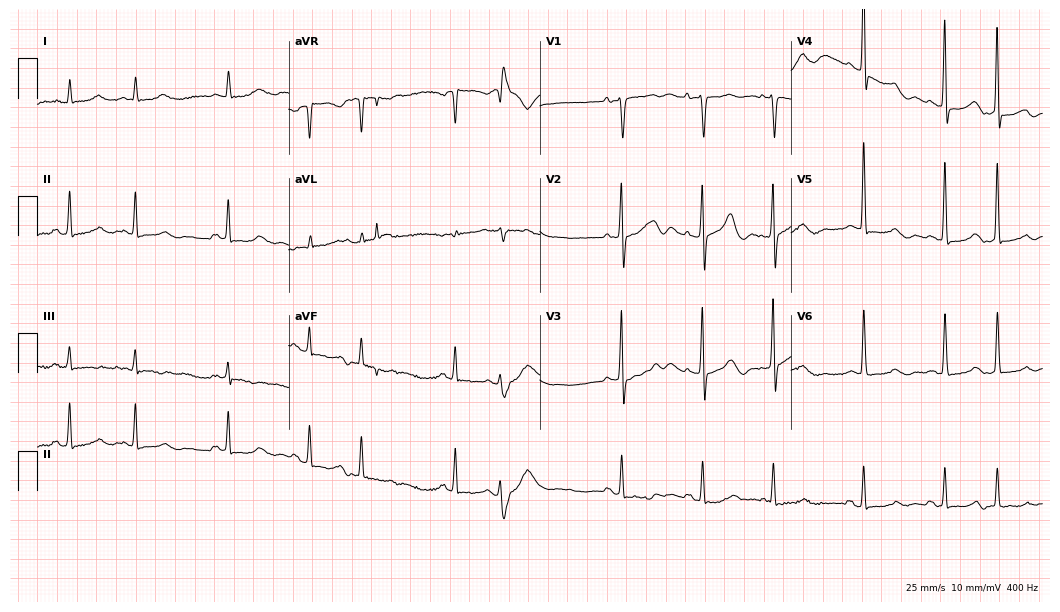
Standard 12-lead ECG recorded from a woman, 69 years old. None of these six findings is recorded: first-degree AV block, right bundle branch block (RBBB), left bundle branch block (LBBB), sinus bradycardia, atrial fibrillation (AF), sinus tachycardia.